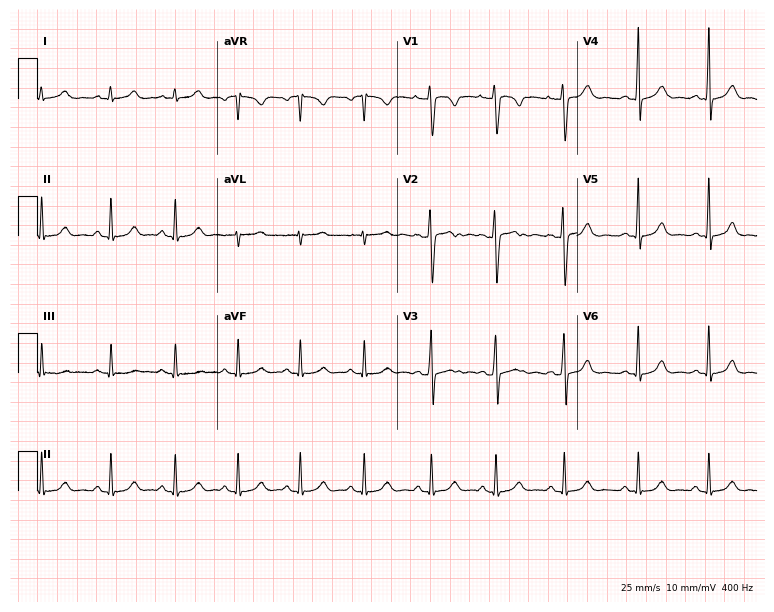
12-lead ECG from a female, 28 years old. Labelled as a normal ECG.